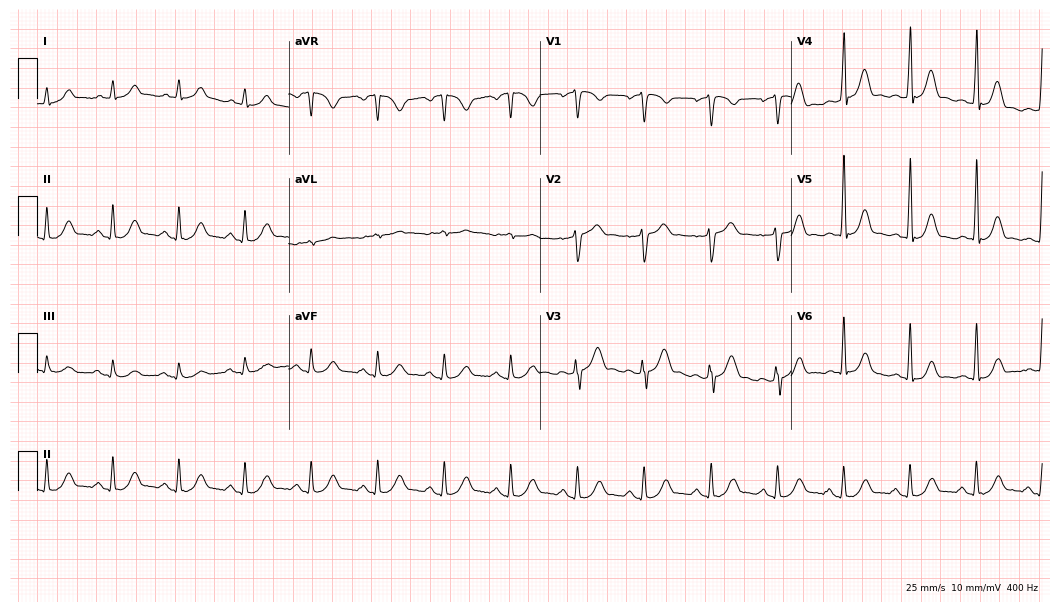
12-lead ECG (10.2-second recording at 400 Hz) from a 63-year-old man. Labelled as a normal ECG.